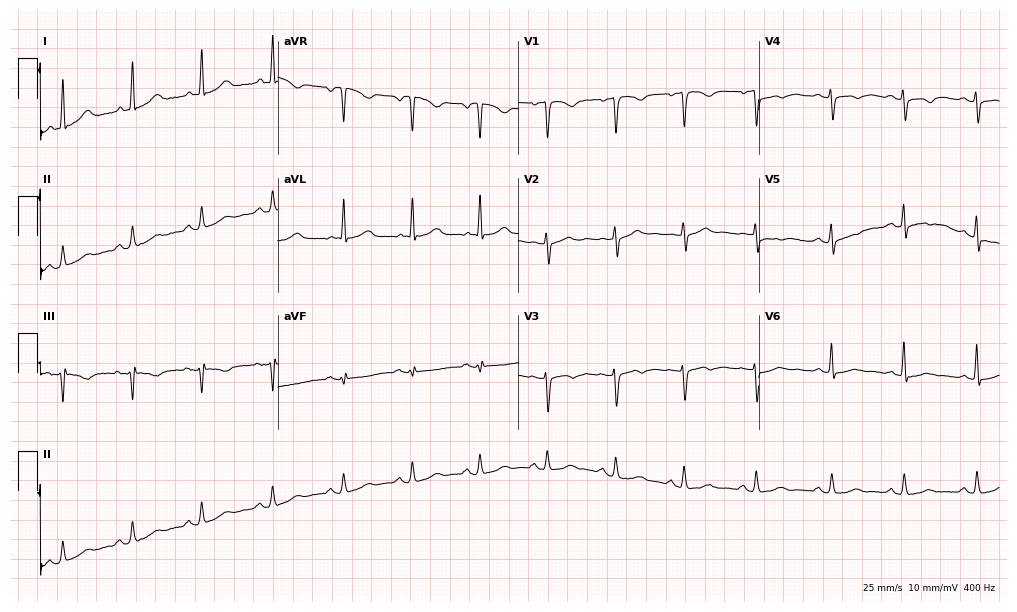
Standard 12-lead ECG recorded from a female, 49 years old. Read as a normal ECG.